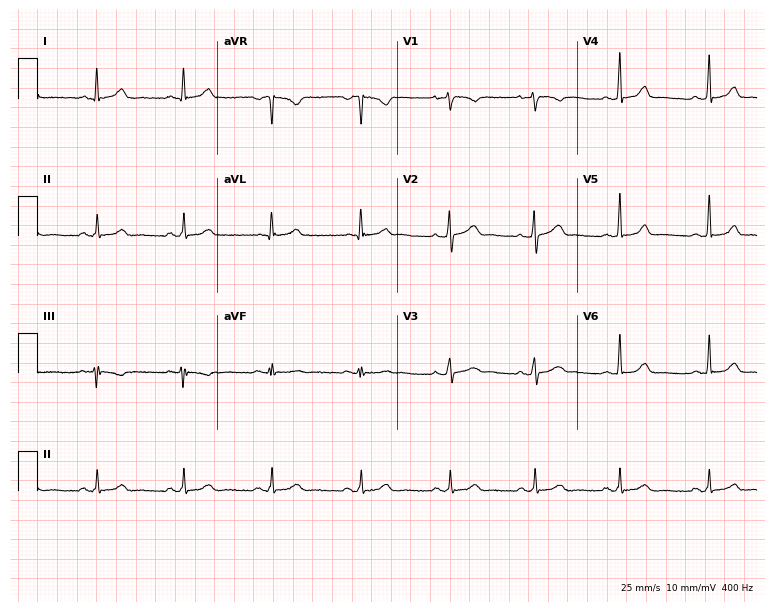
Standard 12-lead ECG recorded from a woman, 35 years old (7.3-second recording at 400 Hz). Read as a normal ECG.